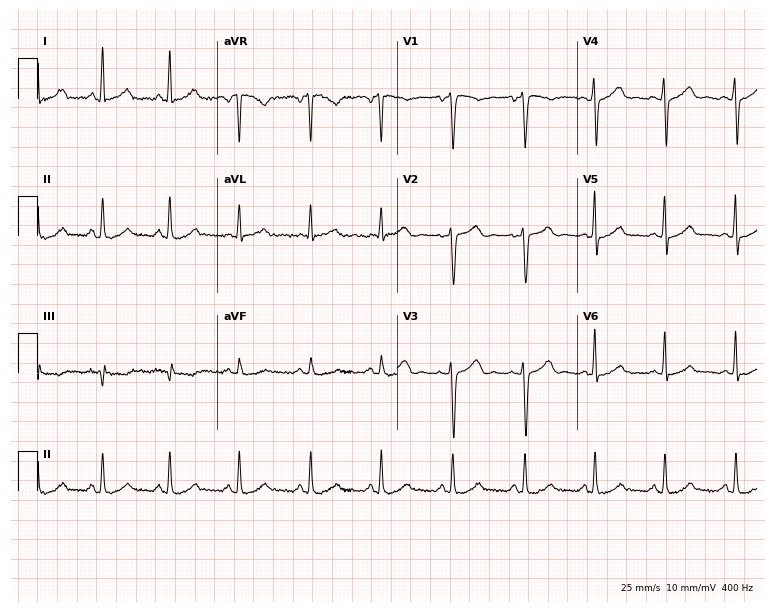
Resting 12-lead electrocardiogram (7.3-second recording at 400 Hz). Patient: a female, 39 years old. Read as a normal ECG.